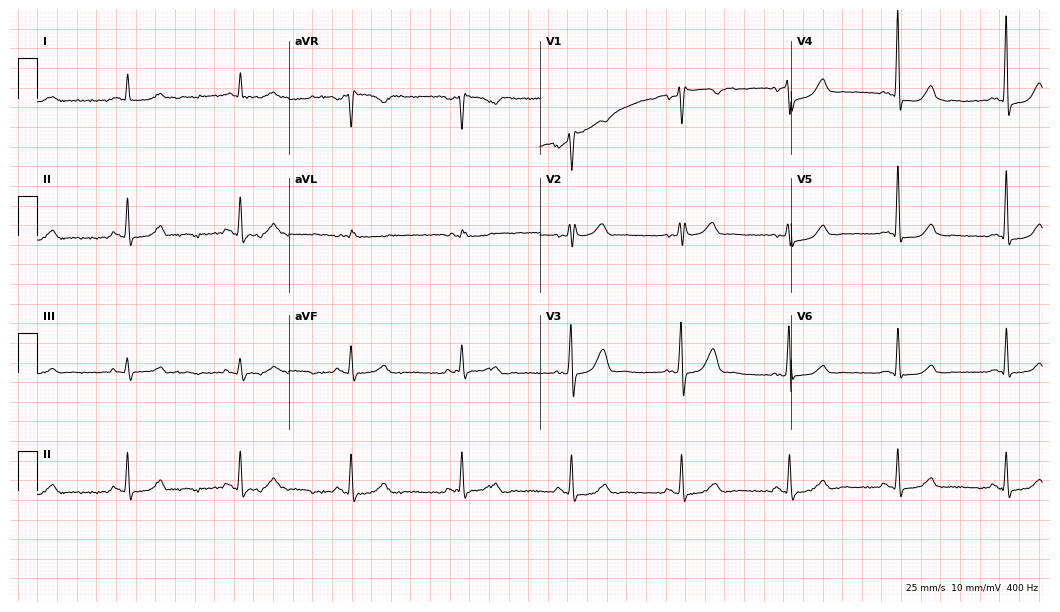
ECG (10.2-second recording at 400 Hz) — a 53-year-old man. Labelled as a normal ECG.